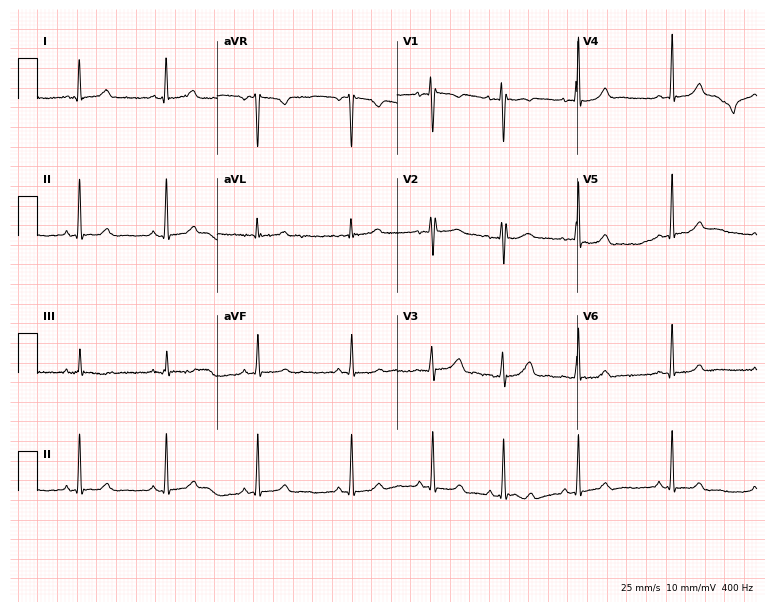
ECG (7.3-second recording at 400 Hz) — a woman, 20 years old. Screened for six findings — first-degree AV block, right bundle branch block, left bundle branch block, sinus bradycardia, atrial fibrillation, sinus tachycardia — none is recorded. Only these six findings were labelled.